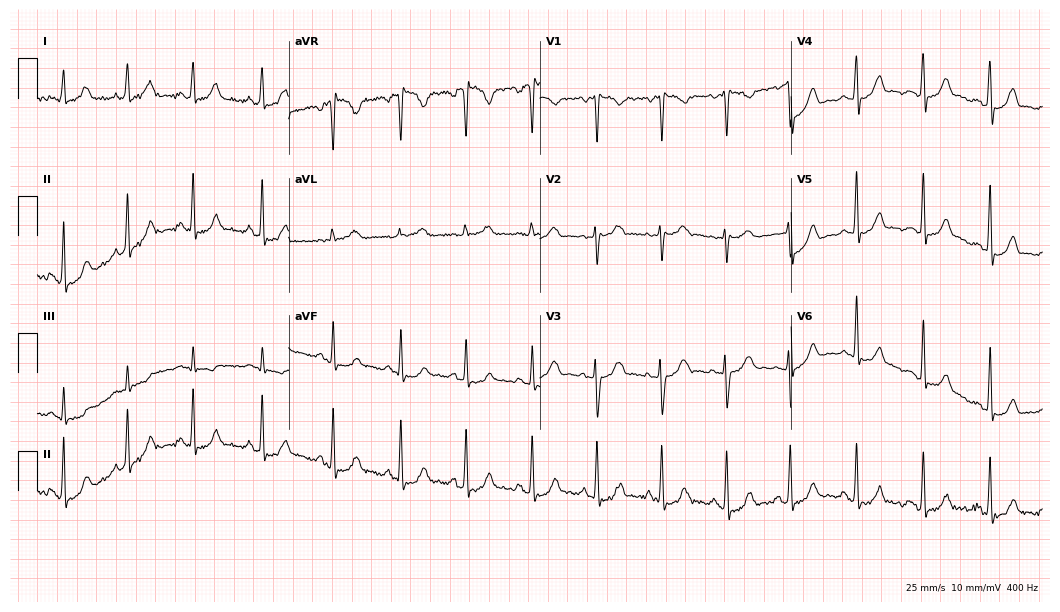
ECG — a female patient, 32 years old. Labelled as a normal ECG.